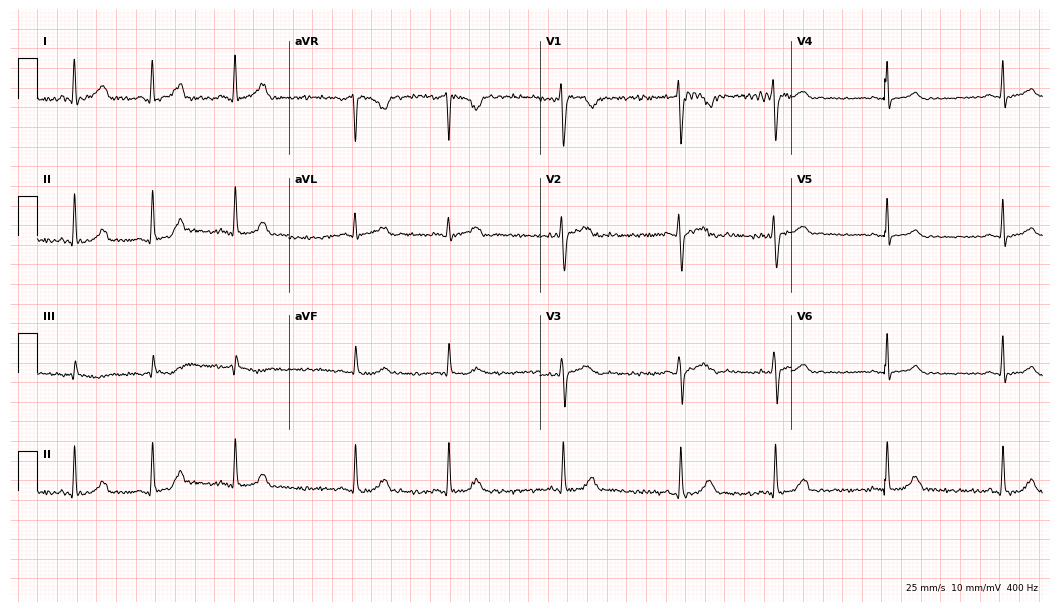
12-lead ECG (10.2-second recording at 400 Hz) from a 28-year-old female patient. Labelled as a normal ECG.